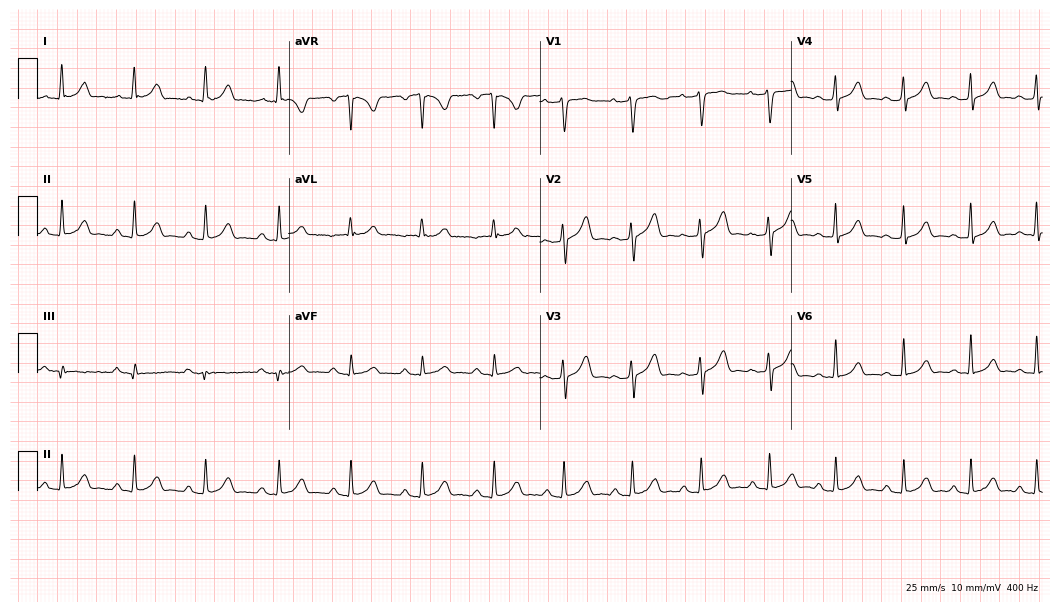
Electrocardiogram (10.2-second recording at 400 Hz), a man, 33 years old. Overall reading on record: normal ECG.